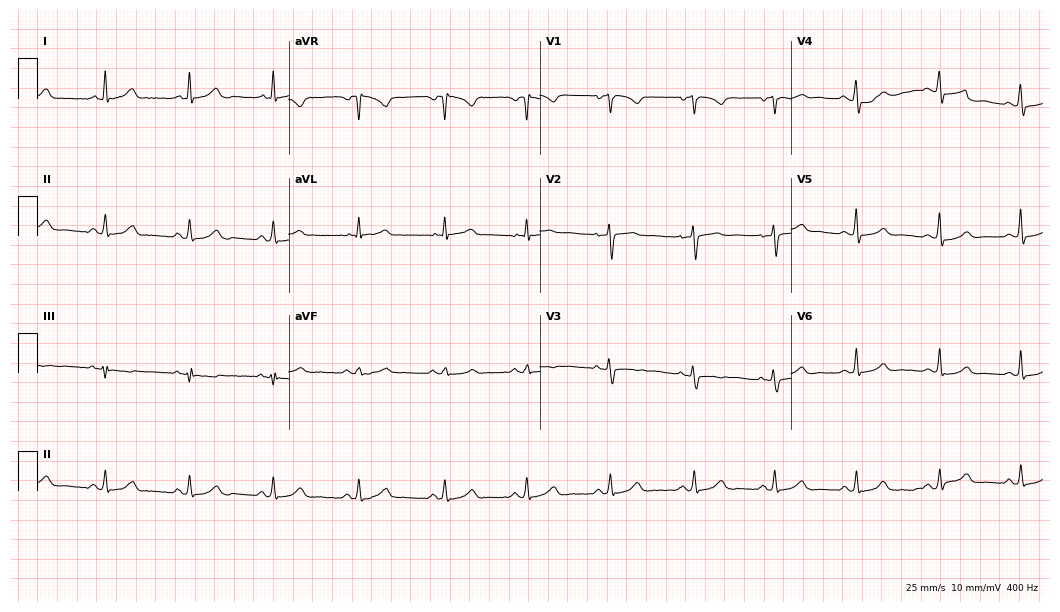
Standard 12-lead ECG recorded from a 39-year-old female patient. Read as a normal ECG.